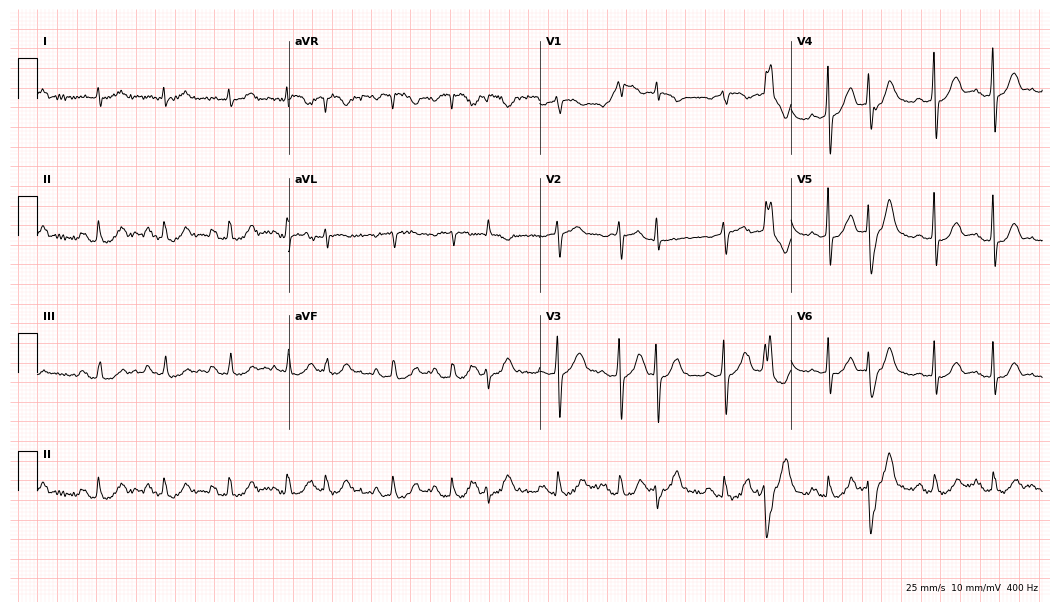
12-lead ECG (10.2-second recording at 400 Hz) from a 64-year-old male patient. Screened for six findings — first-degree AV block, right bundle branch block, left bundle branch block, sinus bradycardia, atrial fibrillation, sinus tachycardia — none is recorded.